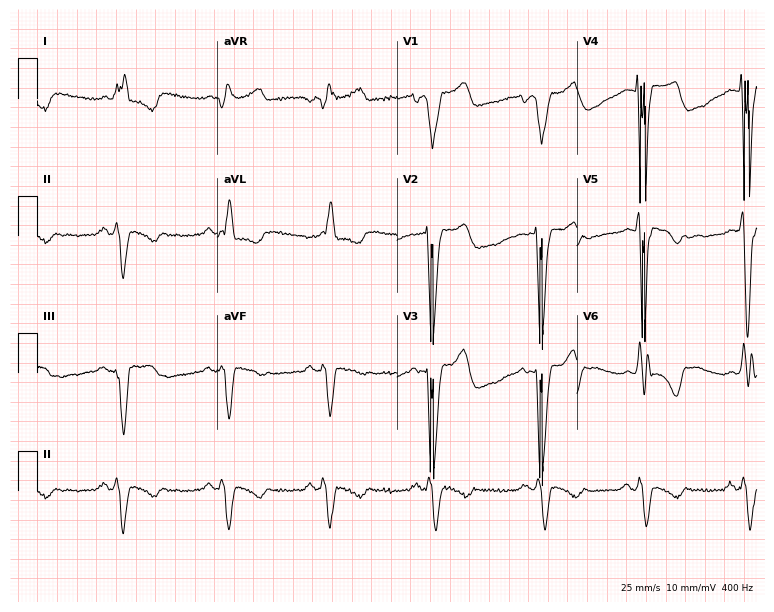
Standard 12-lead ECG recorded from a female patient, 74 years old (7.3-second recording at 400 Hz). The tracing shows left bundle branch block (LBBB).